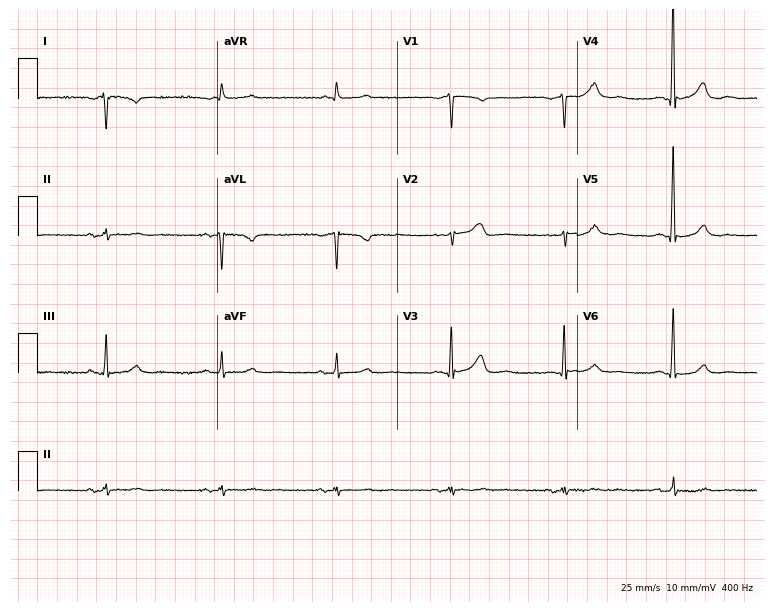
Standard 12-lead ECG recorded from a female, 66 years old (7.3-second recording at 400 Hz). None of these six findings is recorded: first-degree AV block, right bundle branch block, left bundle branch block, sinus bradycardia, atrial fibrillation, sinus tachycardia. Other findings, if any, are not listed.